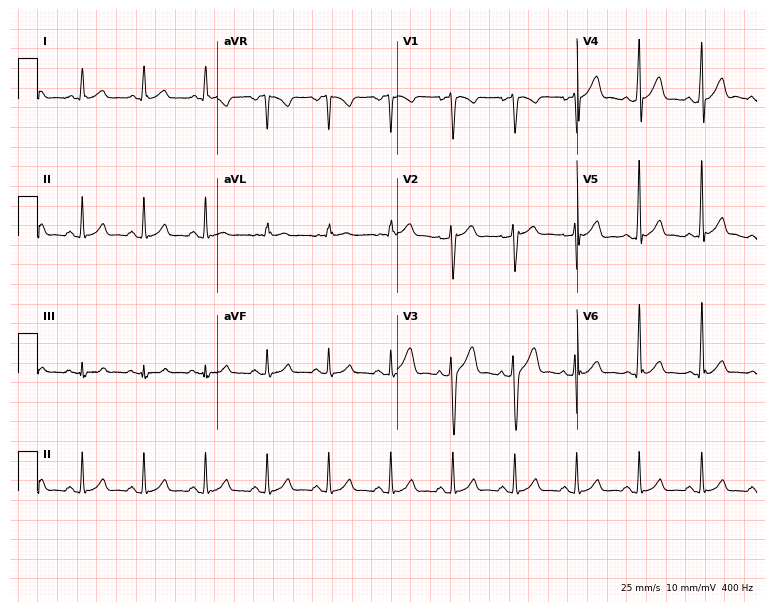
Electrocardiogram (7.3-second recording at 400 Hz), a 33-year-old male. Overall reading on record: normal ECG.